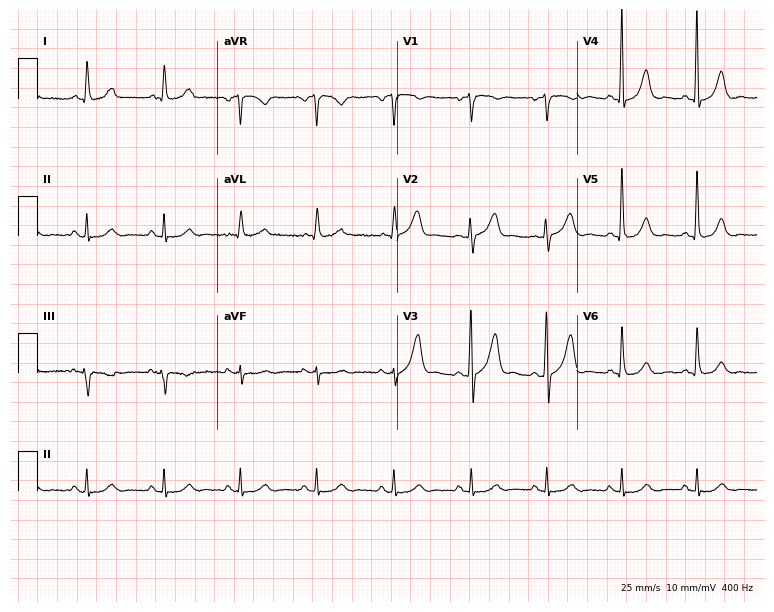
ECG — a 62-year-old man. Labelled as a normal ECG.